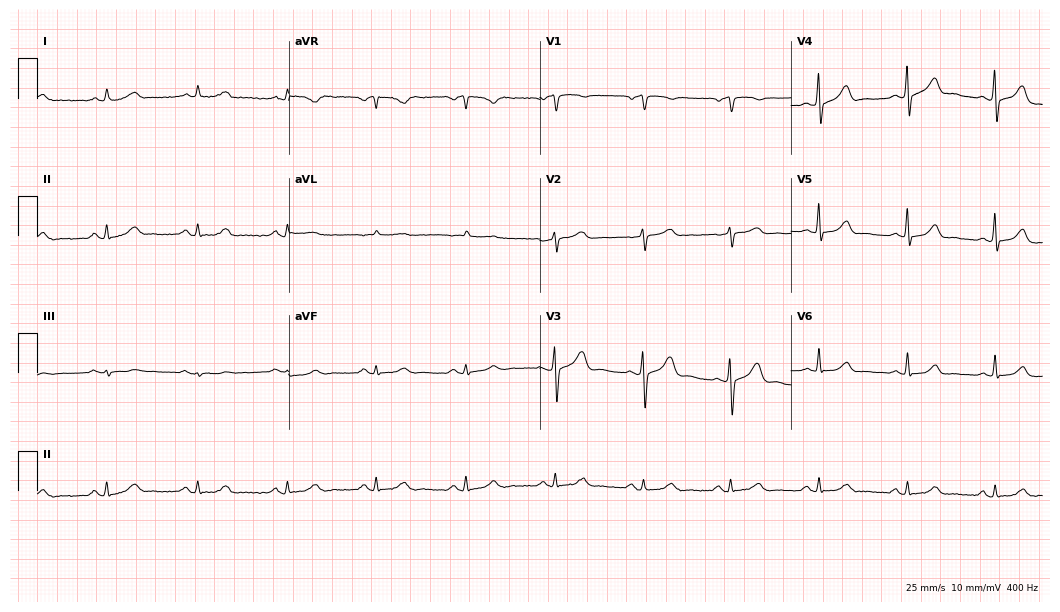
12-lead ECG from a male, 59 years old. Labelled as a normal ECG.